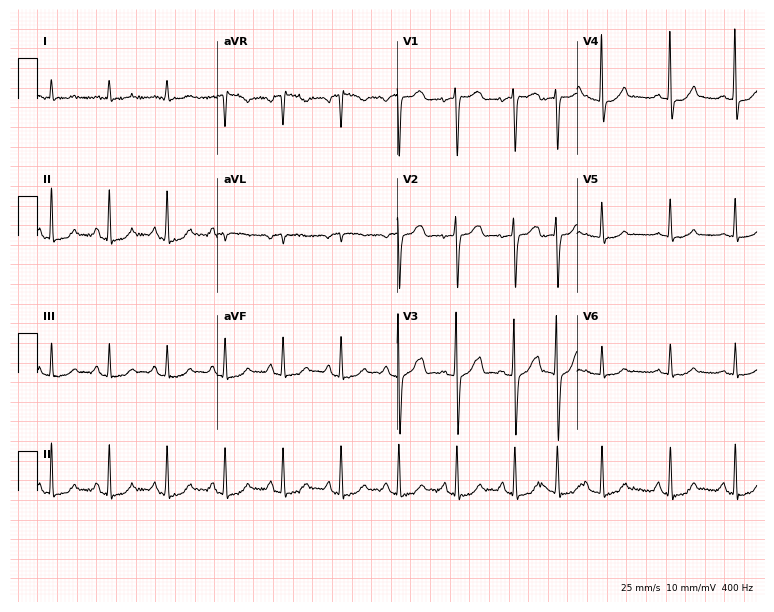
ECG (7.3-second recording at 400 Hz) — a 76-year-old male. Screened for six findings — first-degree AV block, right bundle branch block, left bundle branch block, sinus bradycardia, atrial fibrillation, sinus tachycardia — none is recorded. Findings outside these six are not listed.